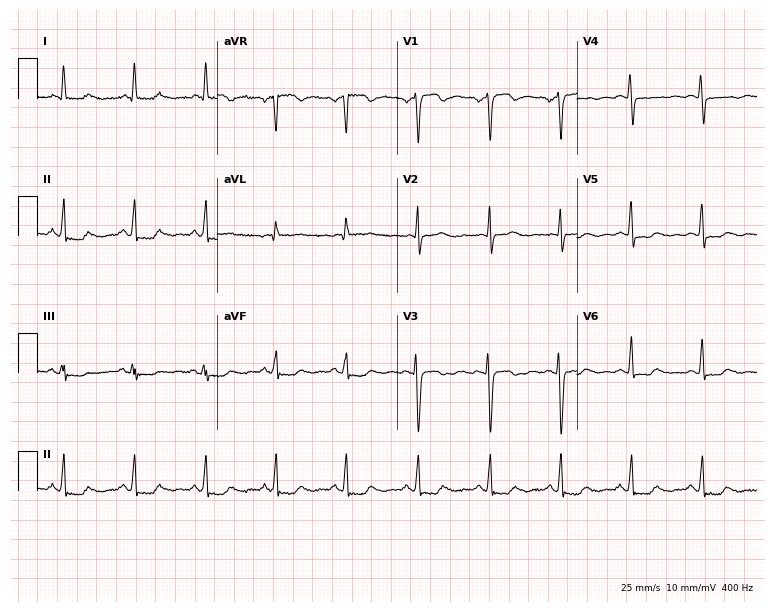
ECG (7.3-second recording at 400 Hz) — a woman, 45 years old. Screened for six findings — first-degree AV block, right bundle branch block (RBBB), left bundle branch block (LBBB), sinus bradycardia, atrial fibrillation (AF), sinus tachycardia — none is recorded.